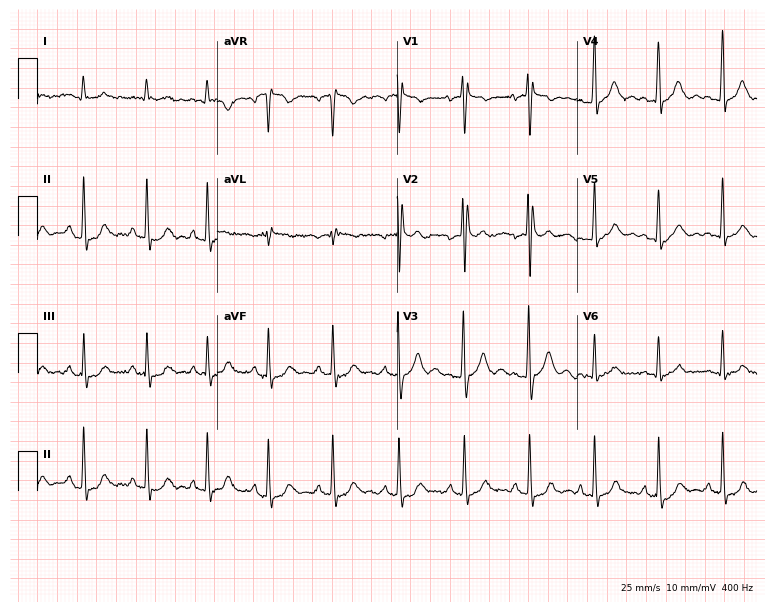
Electrocardiogram, a 21-year-old male. Of the six screened findings (first-degree AV block, right bundle branch block, left bundle branch block, sinus bradycardia, atrial fibrillation, sinus tachycardia), none is recorded.